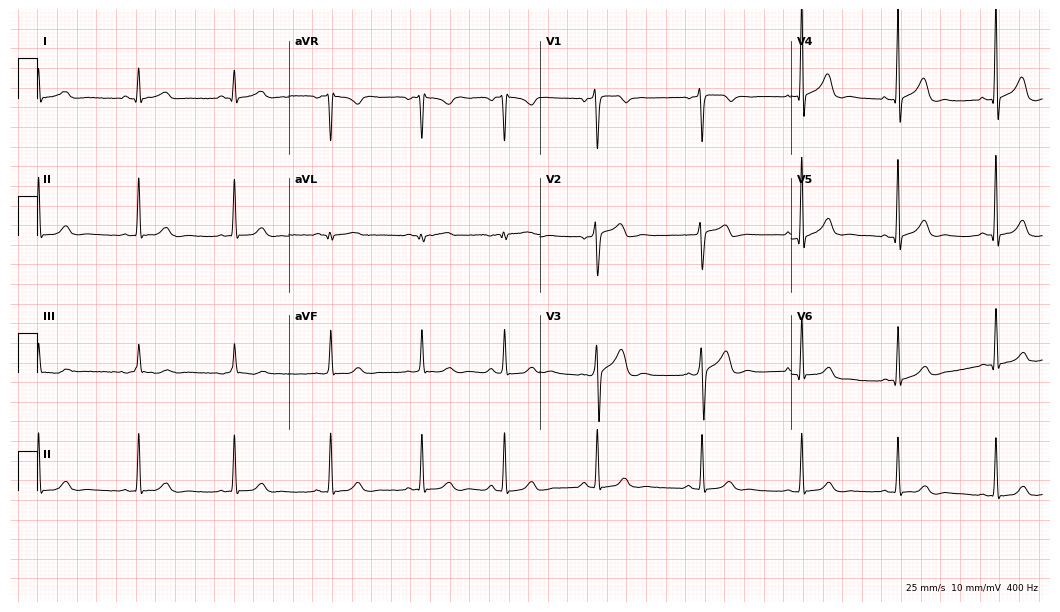
Resting 12-lead electrocardiogram (10.2-second recording at 400 Hz). Patient: a man, 29 years old. Read as a normal ECG.